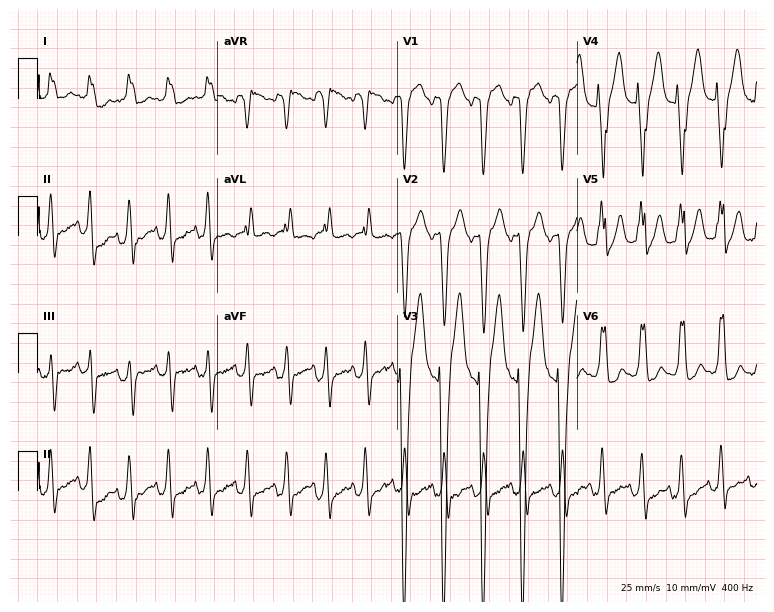
Resting 12-lead electrocardiogram. Patient: a 56-year-old male. The tracing shows left bundle branch block, sinus tachycardia (a sinus rate of 100 beats per minute or more).